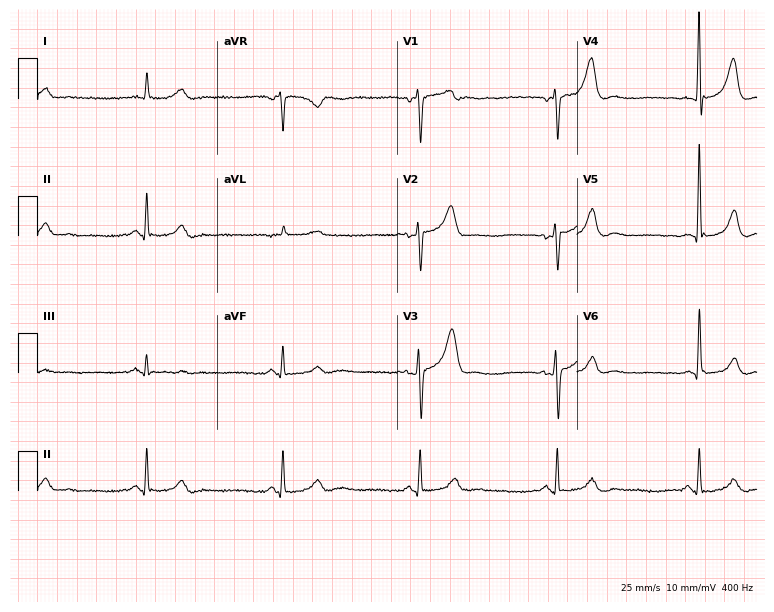
Standard 12-lead ECG recorded from a man, 65 years old (7.3-second recording at 400 Hz). The tracing shows sinus bradycardia (a sinus rate of 50 beats per minute or less).